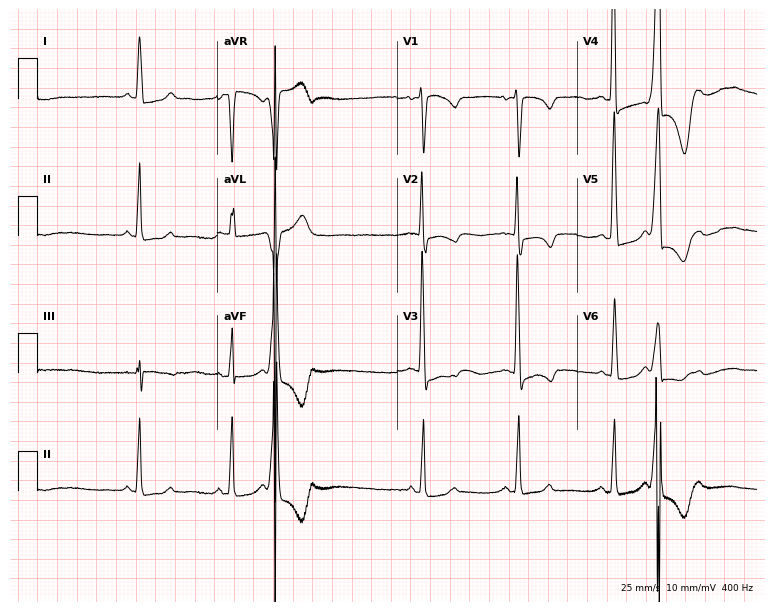
Electrocardiogram (7.3-second recording at 400 Hz), a 51-year-old woman. Of the six screened findings (first-degree AV block, right bundle branch block, left bundle branch block, sinus bradycardia, atrial fibrillation, sinus tachycardia), none is recorded.